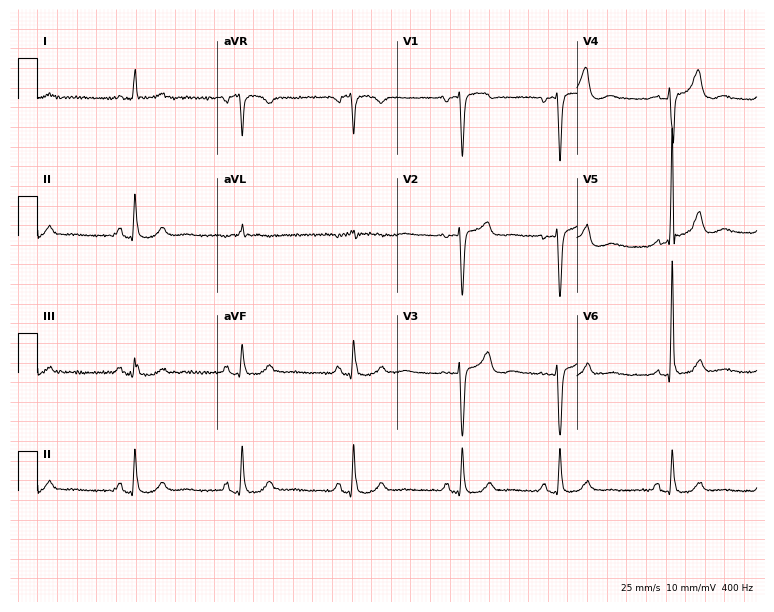
Standard 12-lead ECG recorded from a female patient, 74 years old (7.3-second recording at 400 Hz). None of these six findings is recorded: first-degree AV block, right bundle branch block (RBBB), left bundle branch block (LBBB), sinus bradycardia, atrial fibrillation (AF), sinus tachycardia.